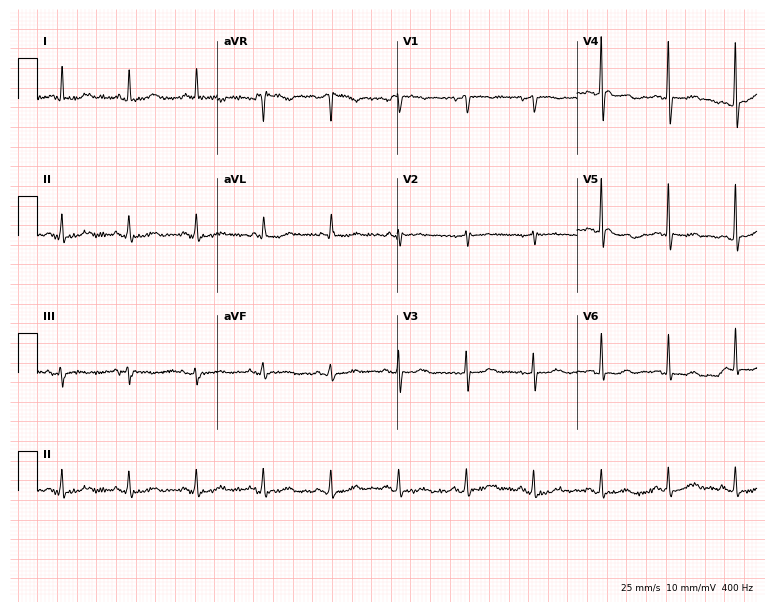
12-lead ECG (7.3-second recording at 400 Hz) from a woman, 66 years old. Screened for six findings — first-degree AV block, right bundle branch block, left bundle branch block, sinus bradycardia, atrial fibrillation, sinus tachycardia — none is recorded. Findings outside these six are not listed.